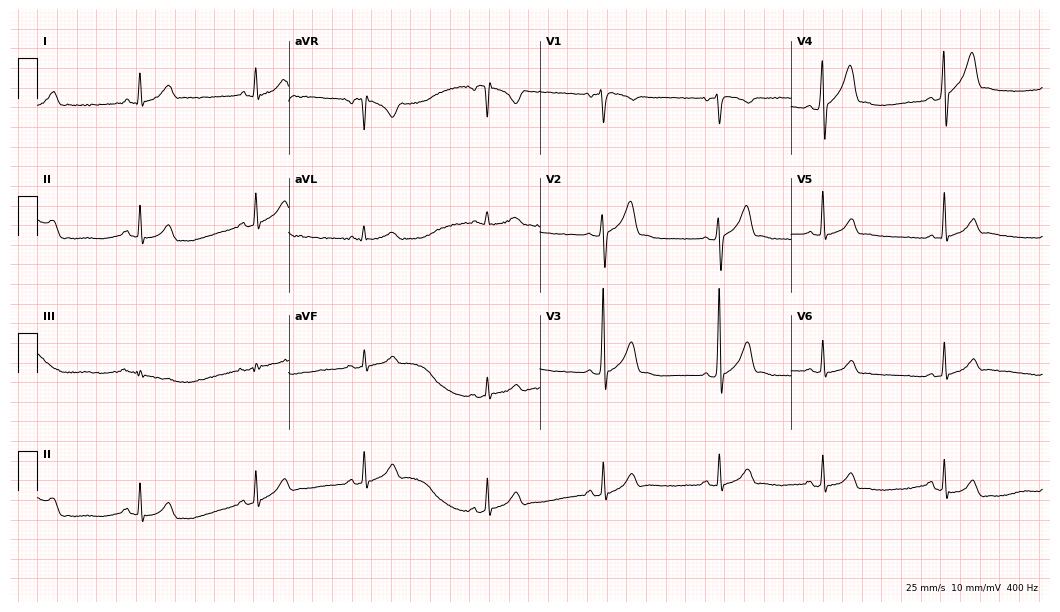
ECG (10.2-second recording at 400 Hz) — a 26-year-old male patient. Labelled as a normal ECG.